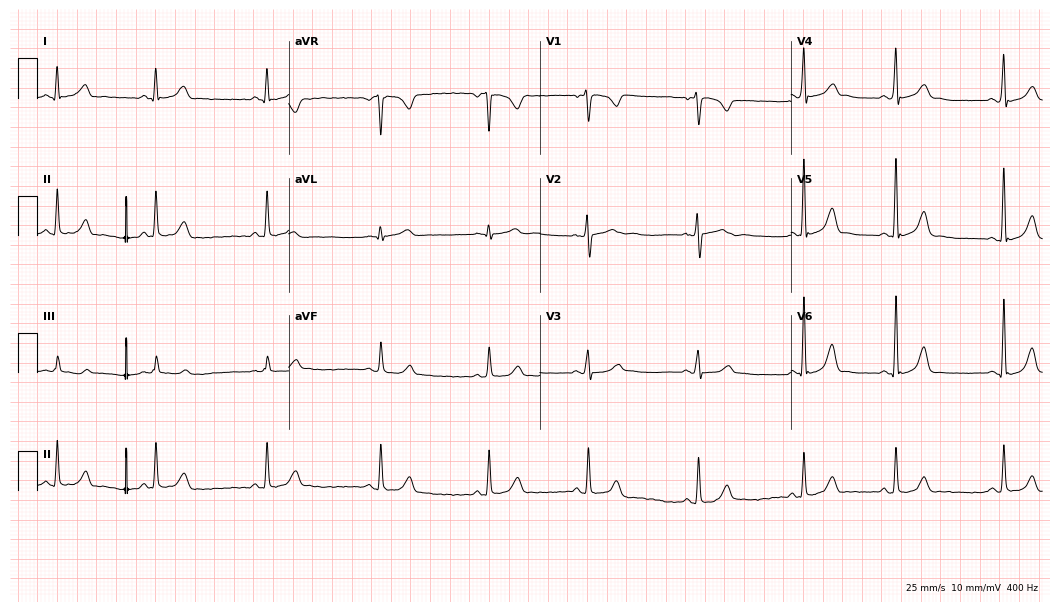
Electrocardiogram, a 22-year-old female patient. Overall reading on record: normal ECG.